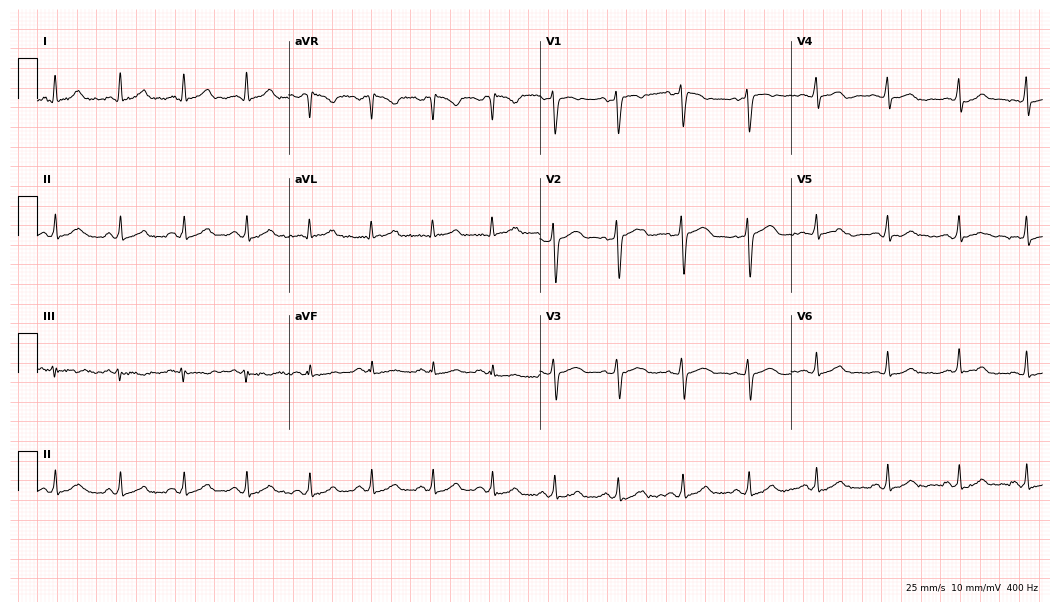
Standard 12-lead ECG recorded from a woman, 30 years old (10.2-second recording at 400 Hz). Read as a normal ECG.